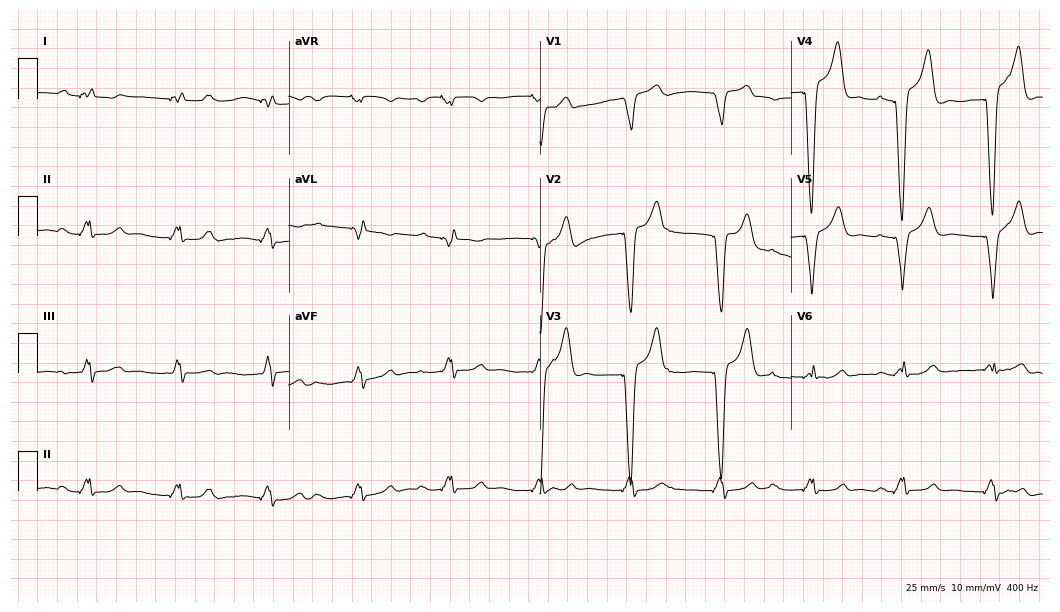
12-lead ECG from a 29-year-old female (10.2-second recording at 400 Hz). No first-degree AV block, right bundle branch block, left bundle branch block, sinus bradycardia, atrial fibrillation or sinus tachycardia recorded for this tracing.